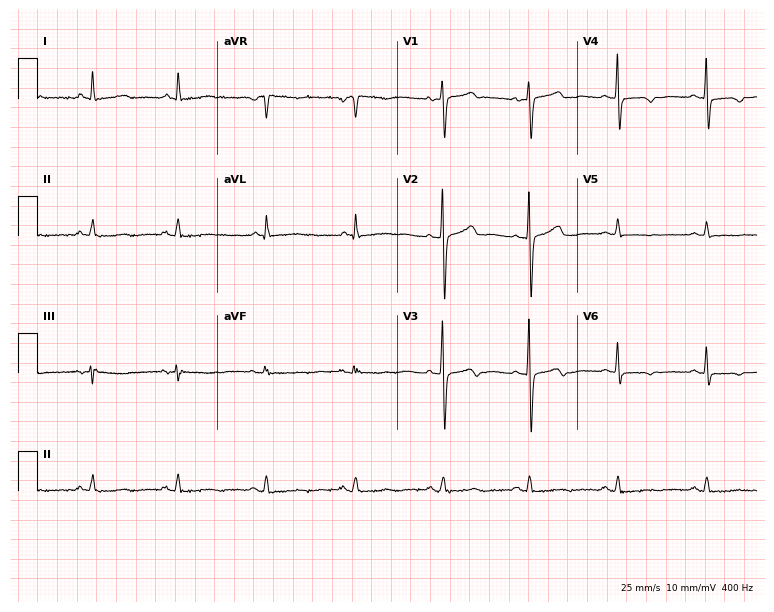
12-lead ECG from a 61-year-old female patient (7.3-second recording at 400 Hz). No first-degree AV block, right bundle branch block, left bundle branch block, sinus bradycardia, atrial fibrillation or sinus tachycardia recorded for this tracing. Findings outside these six are not listed.